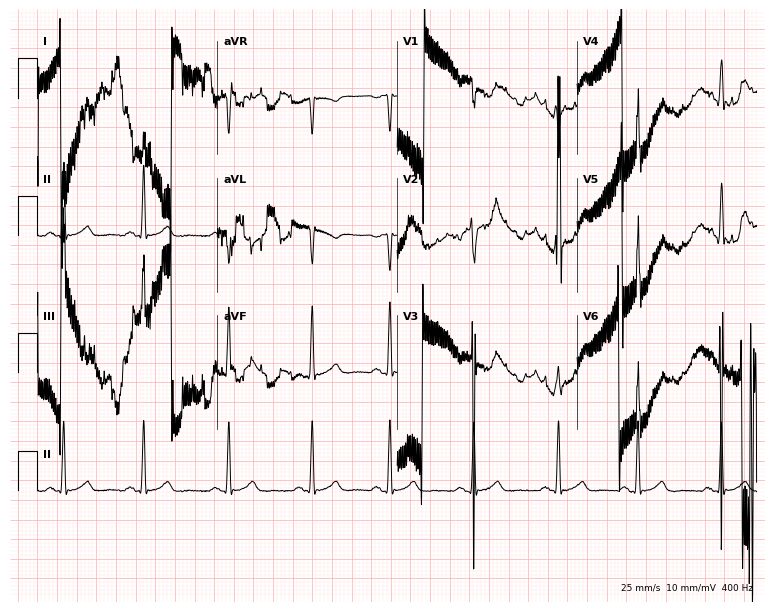
Standard 12-lead ECG recorded from a 22-year-old male (7.3-second recording at 400 Hz). None of these six findings is recorded: first-degree AV block, right bundle branch block, left bundle branch block, sinus bradycardia, atrial fibrillation, sinus tachycardia.